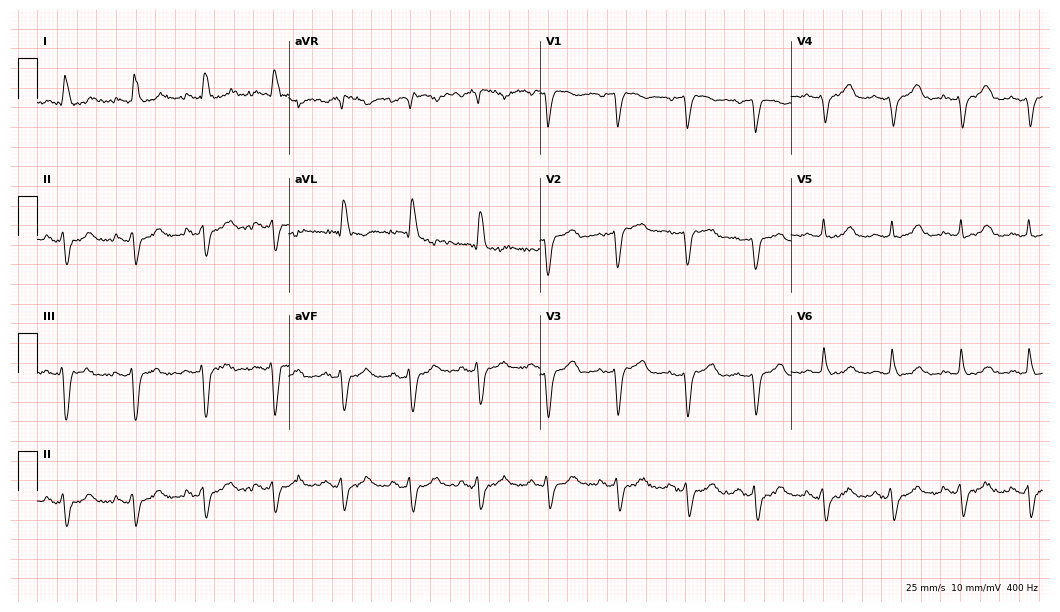
12-lead ECG from a female, 74 years old (10.2-second recording at 400 Hz). No first-degree AV block, right bundle branch block (RBBB), left bundle branch block (LBBB), sinus bradycardia, atrial fibrillation (AF) or sinus tachycardia recorded for this tracing. Other findings, if any, are not listed.